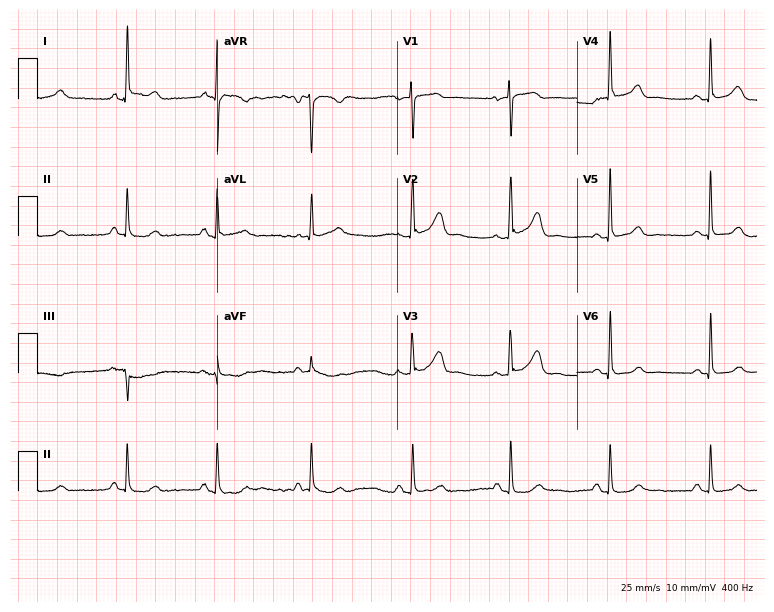
12-lead ECG from a woman, 62 years old. Recorded interpretation: within normal limits.